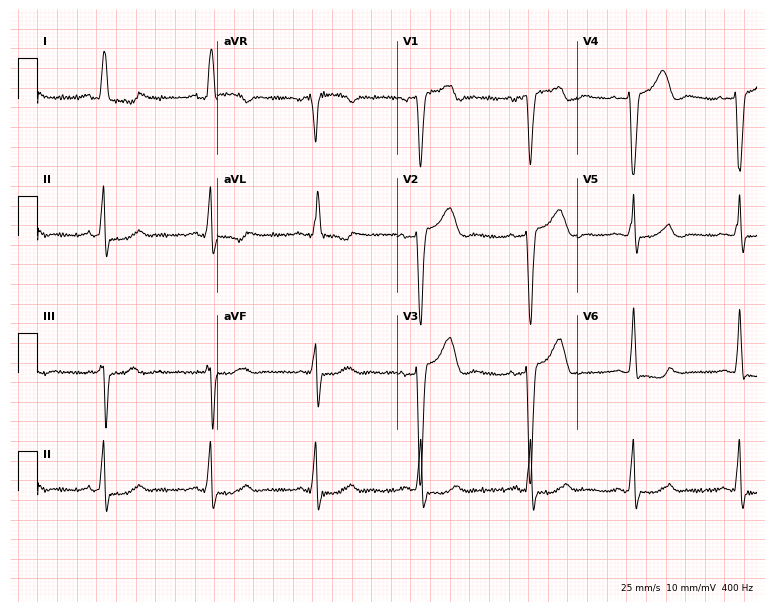
12-lead ECG from a 70-year-old female. Shows left bundle branch block (LBBB).